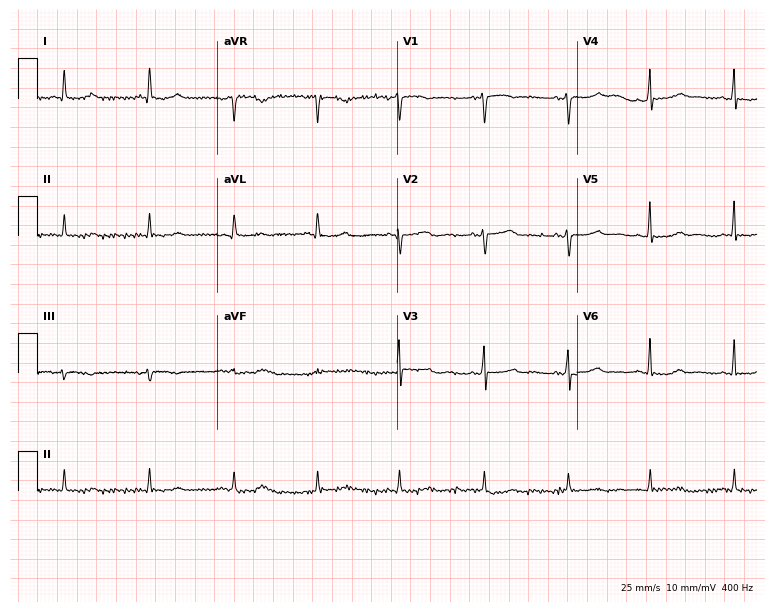
12-lead ECG from a female, 49 years old. Recorded interpretation: within normal limits.